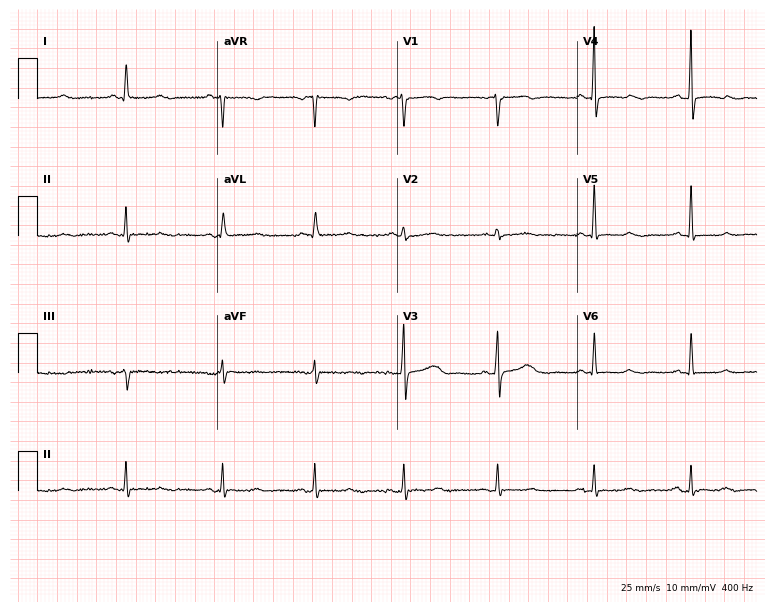
Electrocardiogram, a 61-year-old female patient. Overall reading on record: normal ECG.